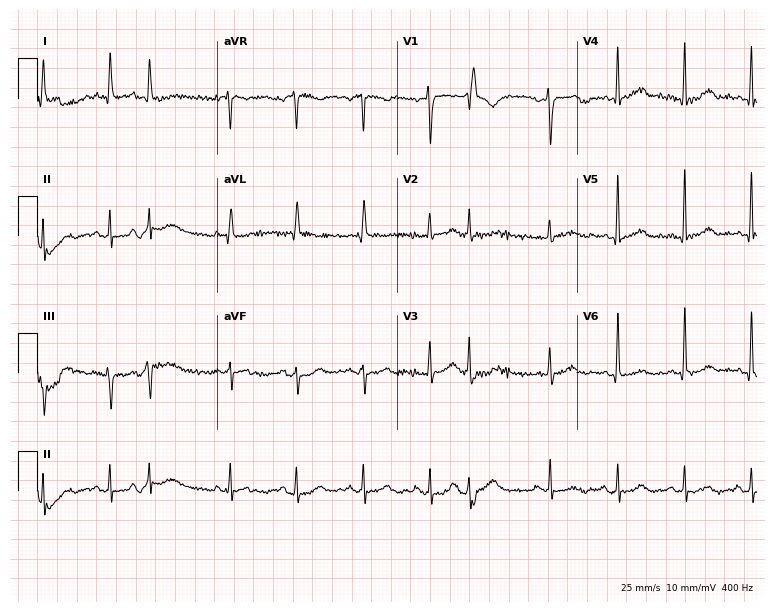
Resting 12-lead electrocardiogram. Patient: a 73-year-old woman. None of these six findings is recorded: first-degree AV block, right bundle branch block, left bundle branch block, sinus bradycardia, atrial fibrillation, sinus tachycardia. Only these six findings were labelled.